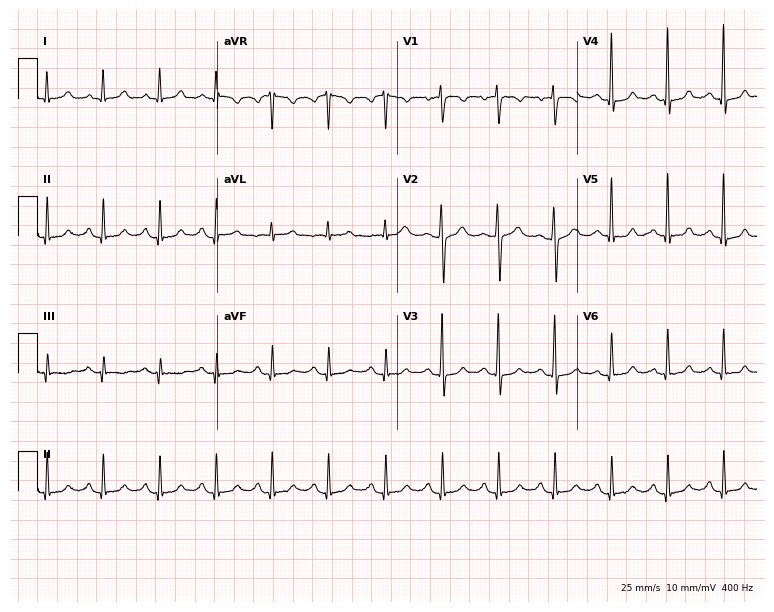
12-lead ECG (7.3-second recording at 400 Hz) from a woman, 49 years old. Findings include sinus tachycardia (a sinus rate of 100 beats per minute or more).